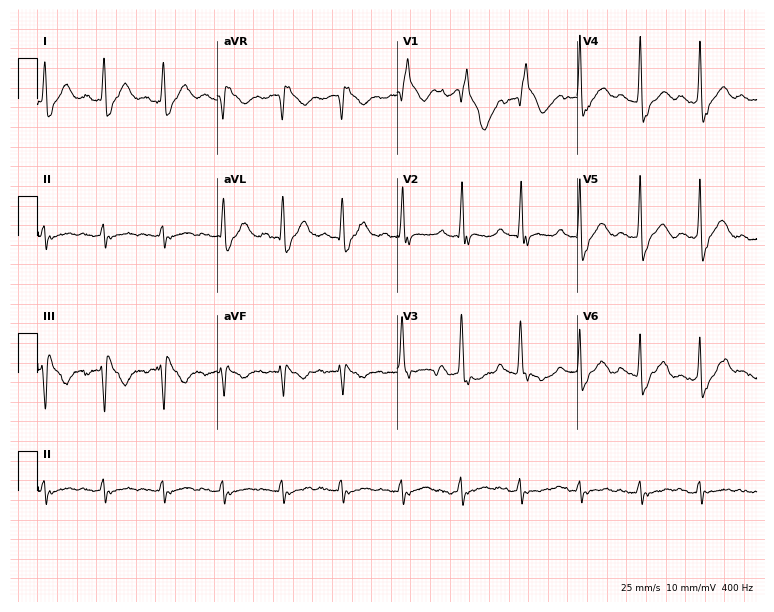
12-lead ECG from a 53-year-old female. Shows right bundle branch block.